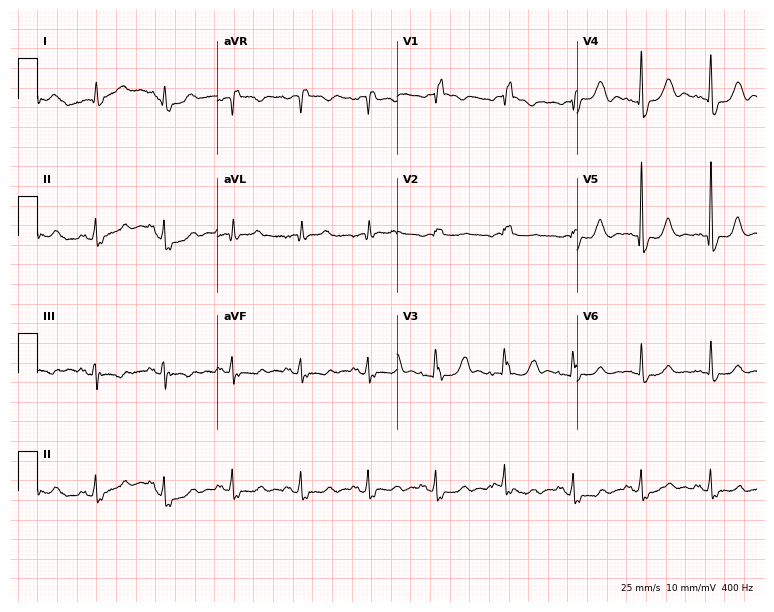
12-lead ECG from an 84-year-old female patient (7.3-second recording at 400 Hz). Shows right bundle branch block.